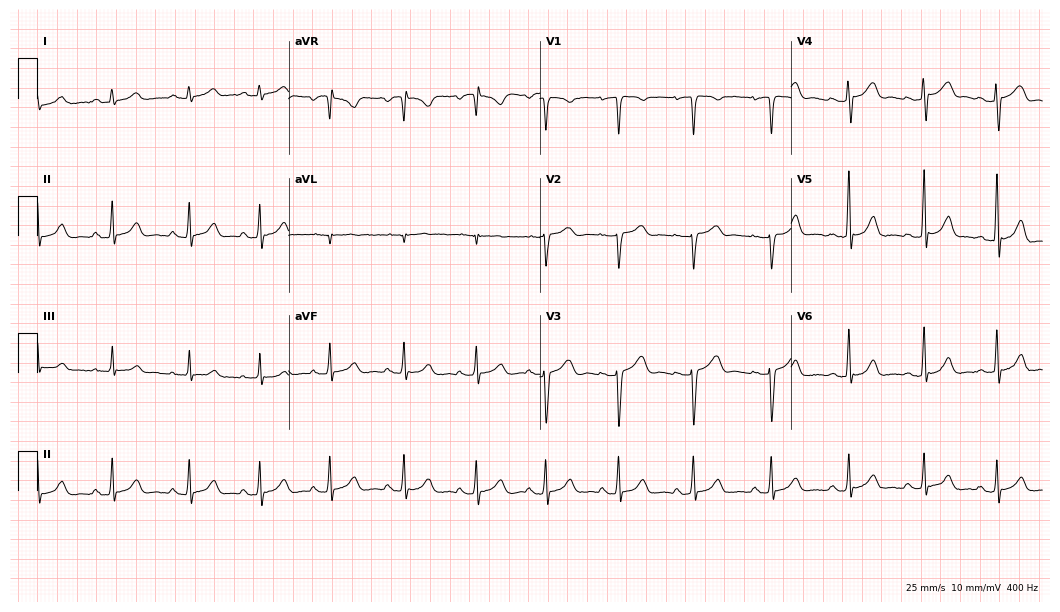
ECG — a 32-year-old female. Labelled as a normal ECG.